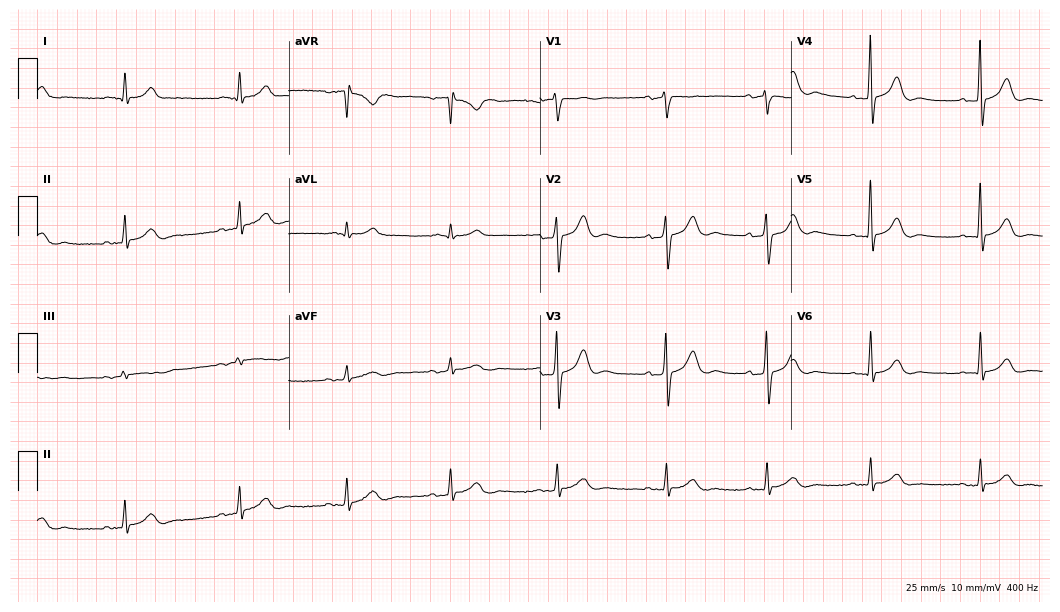
Resting 12-lead electrocardiogram. Patient: a female, 67 years old. Read as a normal ECG.